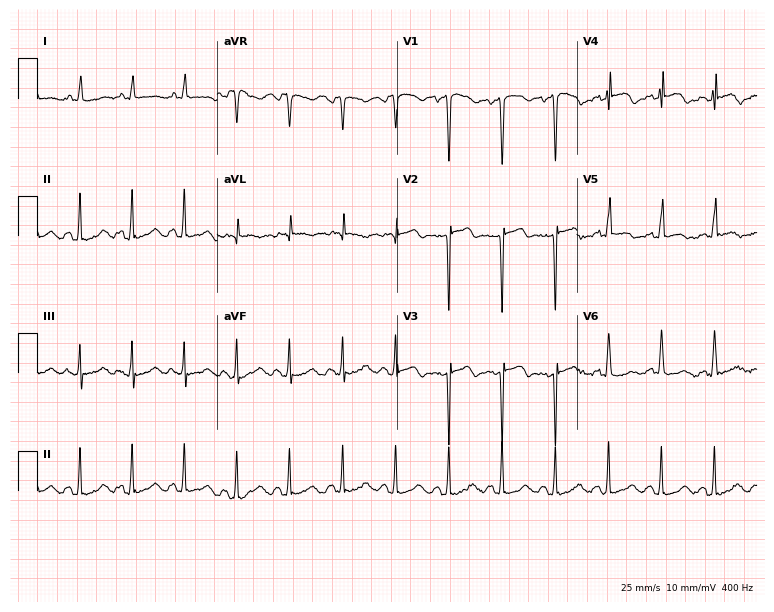
Standard 12-lead ECG recorded from a 69-year-old man (7.3-second recording at 400 Hz). The tracing shows sinus tachycardia (a sinus rate of 100 beats per minute or more).